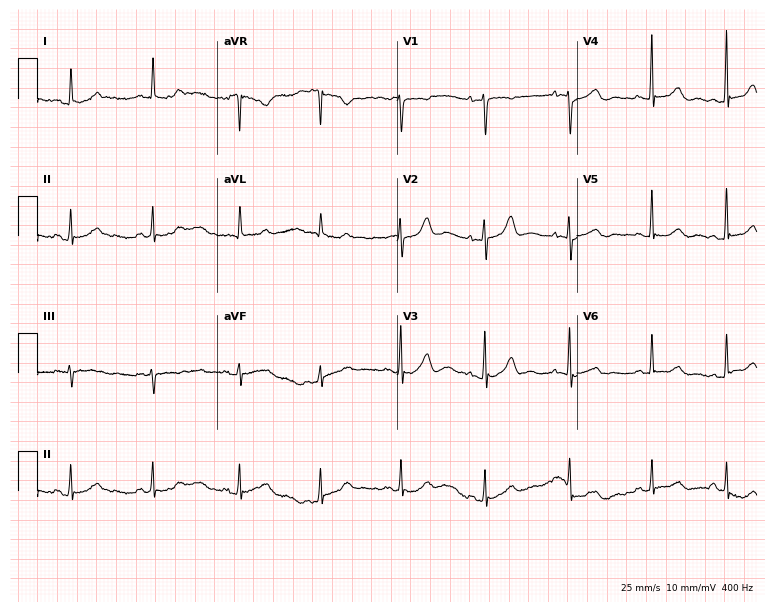
12-lead ECG from a female patient, 63 years old. No first-degree AV block, right bundle branch block, left bundle branch block, sinus bradycardia, atrial fibrillation or sinus tachycardia recorded for this tracing.